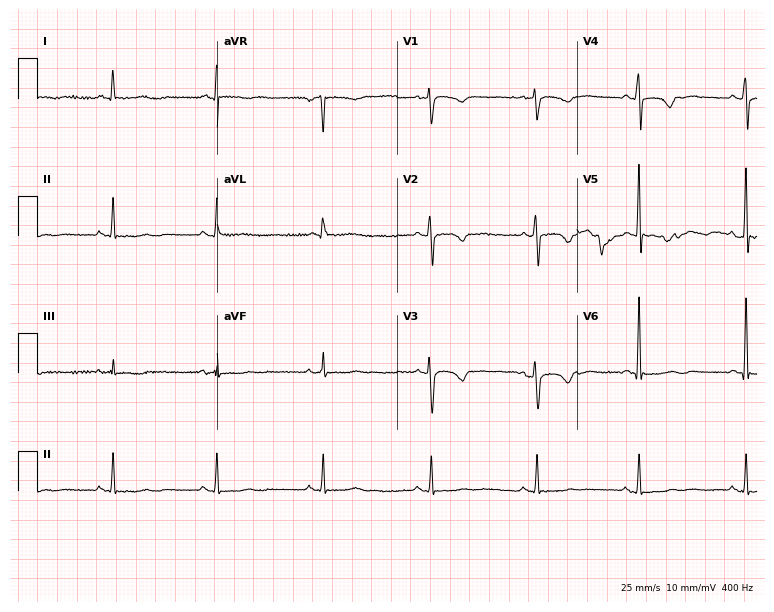
Standard 12-lead ECG recorded from a female patient, 60 years old. None of these six findings is recorded: first-degree AV block, right bundle branch block, left bundle branch block, sinus bradycardia, atrial fibrillation, sinus tachycardia. Other findings, if any, are not listed.